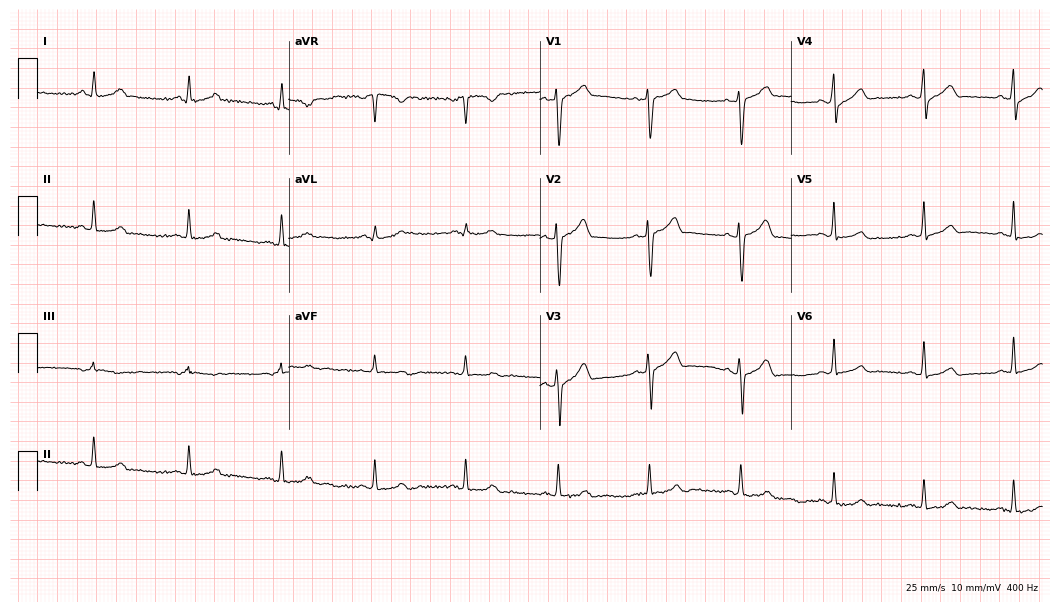
ECG (10.2-second recording at 400 Hz) — a 30-year-old male patient. Screened for six findings — first-degree AV block, right bundle branch block, left bundle branch block, sinus bradycardia, atrial fibrillation, sinus tachycardia — none is recorded. Other findings, if any, are not listed.